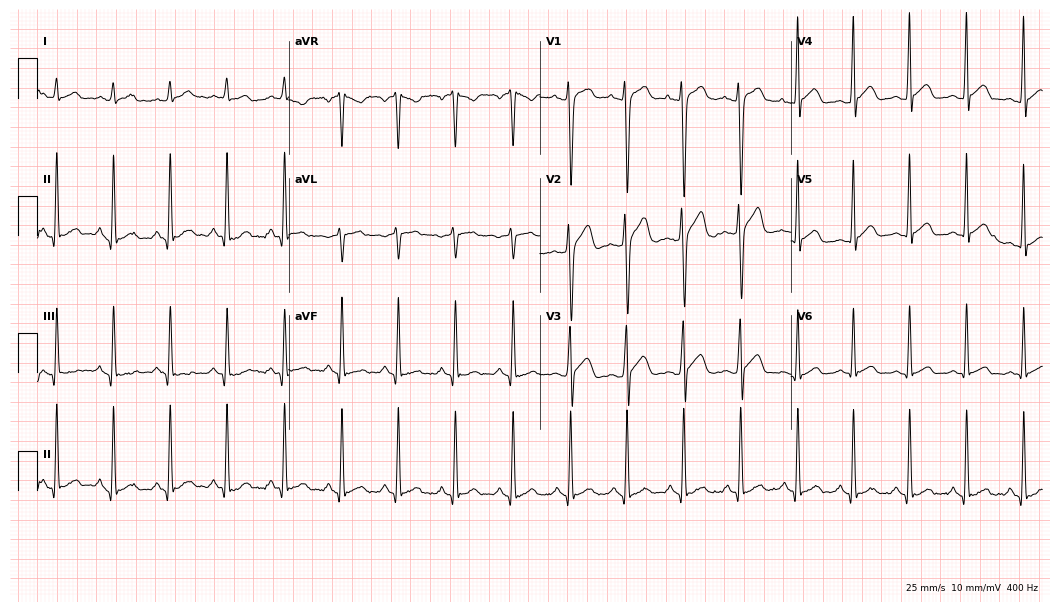
Electrocardiogram, a 23-year-old male. Interpretation includes sinus tachycardia (a sinus rate of 100 beats per minute or more).